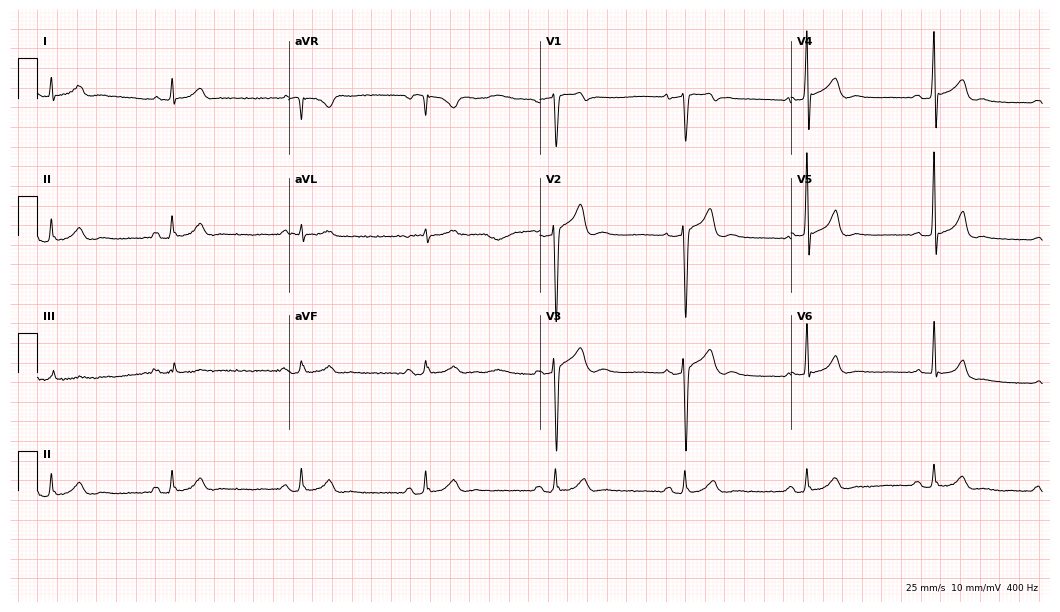
12-lead ECG (10.2-second recording at 400 Hz) from a female patient, 29 years old. Findings include sinus bradycardia (a sinus rate of 50 beats per minute or less).